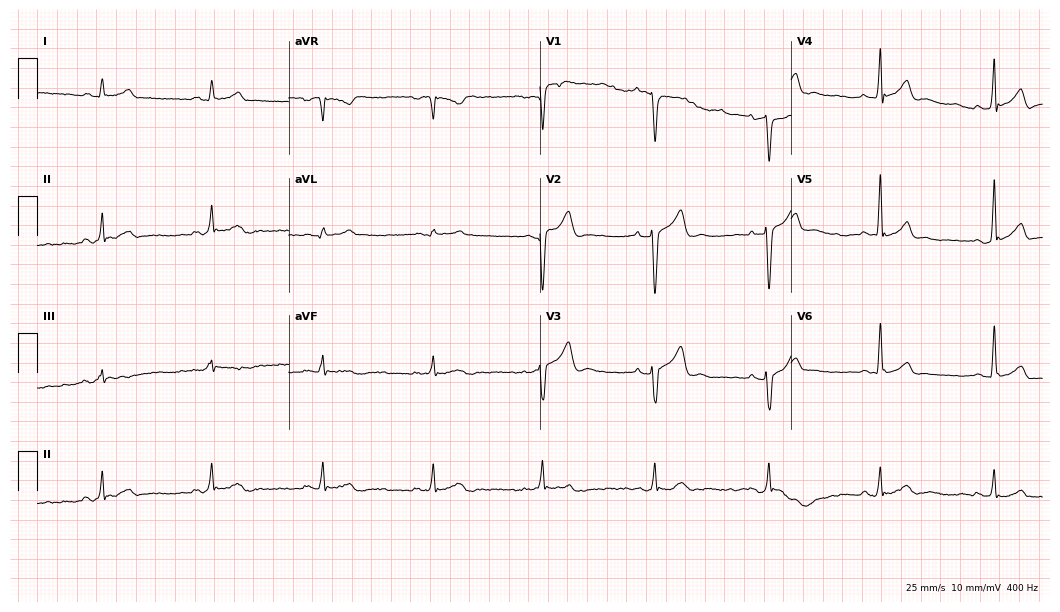
12-lead ECG from a male patient, 51 years old. Recorded interpretation: within normal limits.